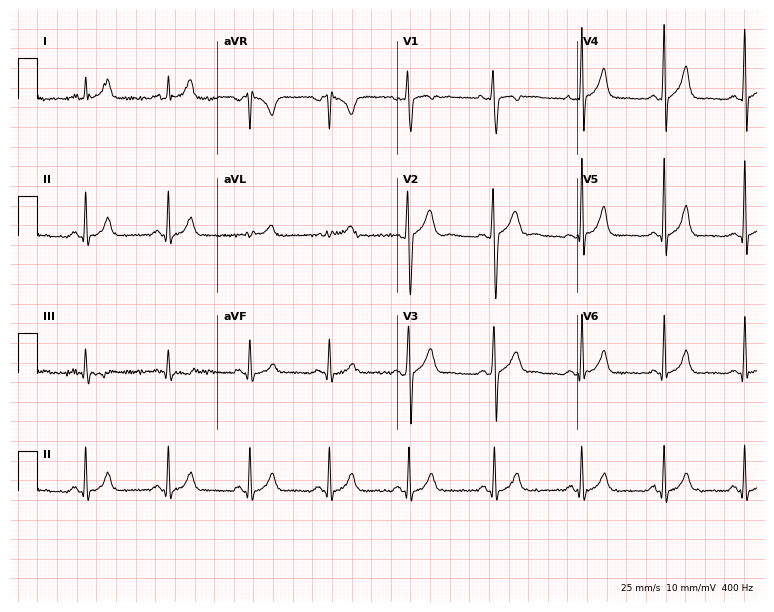
ECG — a 21-year-old male. Screened for six findings — first-degree AV block, right bundle branch block, left bundle branch block, sinus bradycardia, atrial fibrillation, sinus tachycardia — none is recorded.